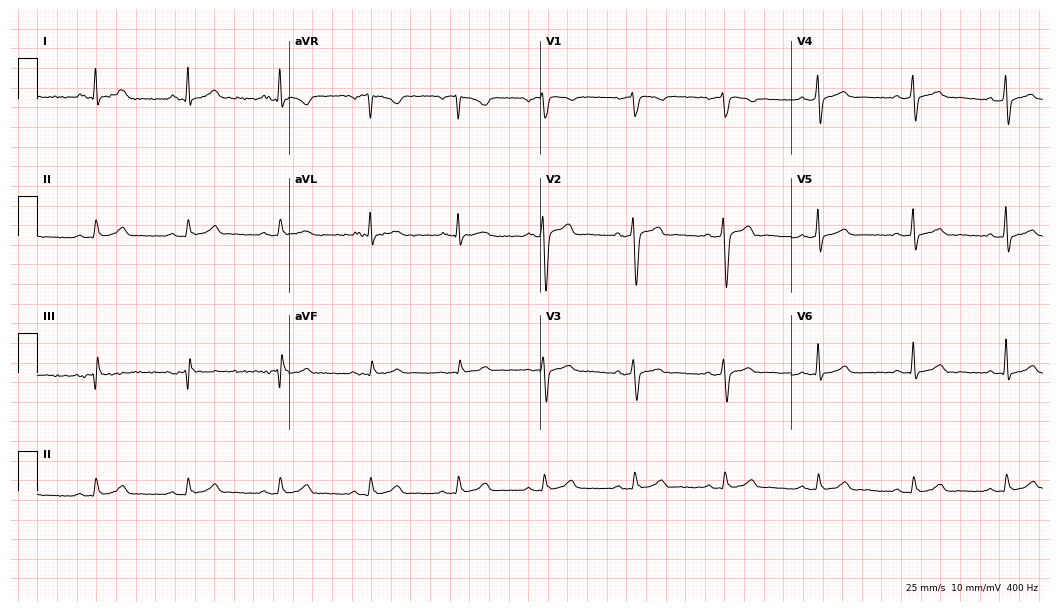
Electrocardiogram (10.2-second recording at 400 Hz), a 42-year-old male patient. Overall reading on record: normal ECG.